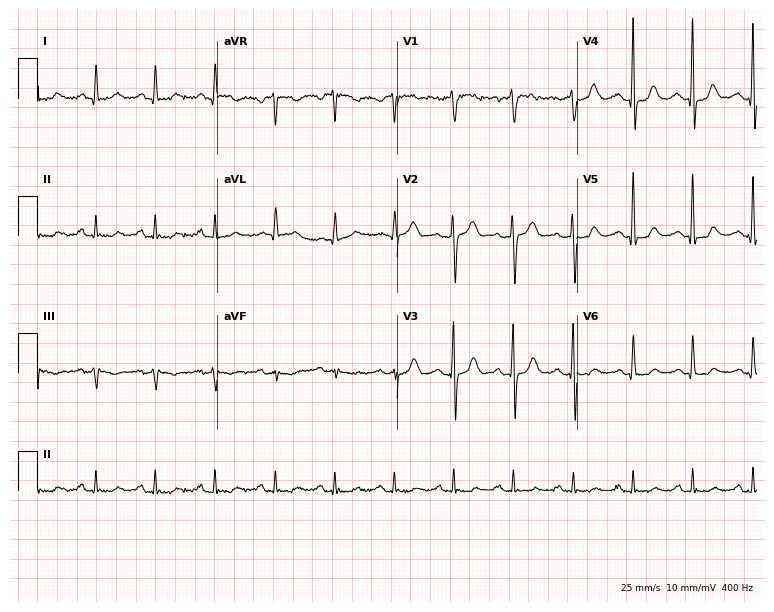
12-lead ECG from a 73-year-old woman. No first-degree AV block, right bundle branch block (RBBB), left bundle branch block (LBBB), sinus bradycardia, atrial fibrillation (AF) or sinus tachycardia recorded for this tracing.